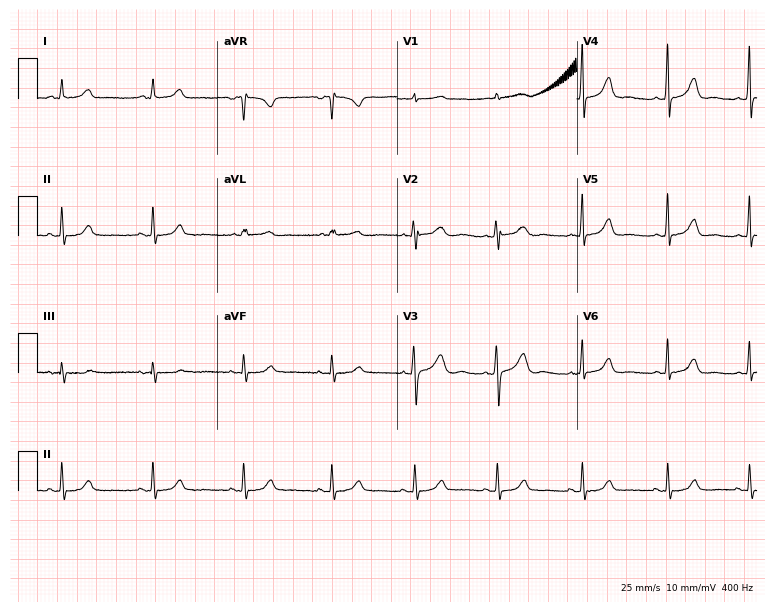
Electrocardiogram (7.3-second recording at 400 Hz), a woman, 18 years old. Overall reading on record: normal ECG.